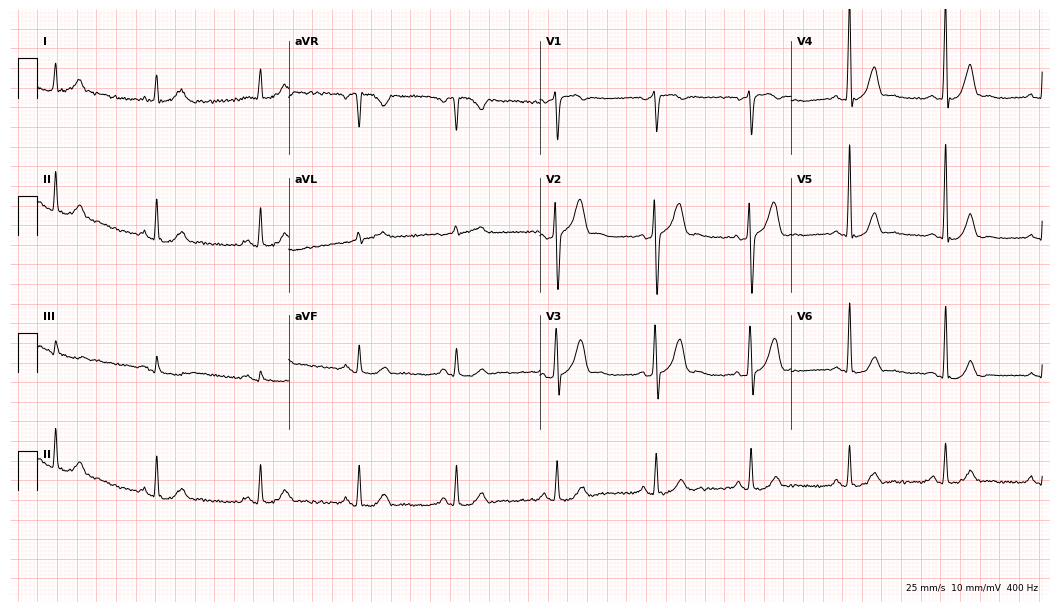
ECG — a 74-year-old man. Labelled as a normal ECG.